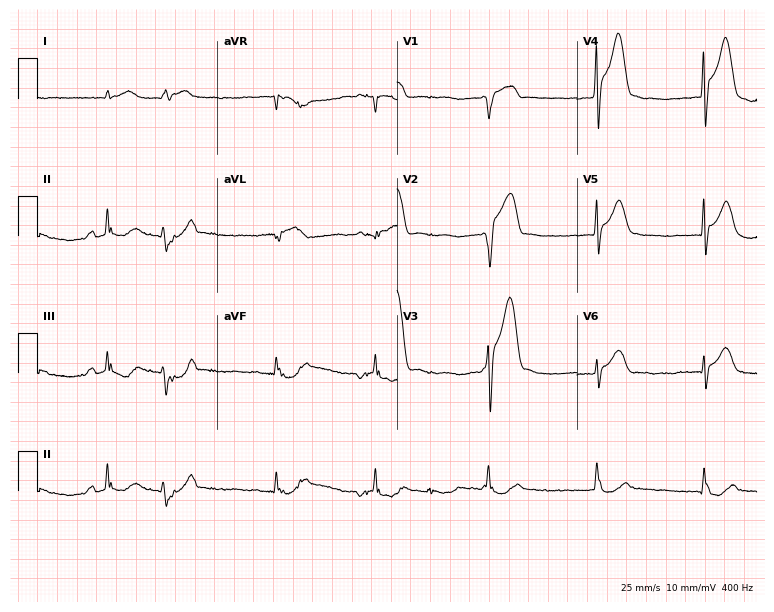
Resting 12-lead electrocardiogram. Patient: a 76-year-old male. None of these six findings is recorded: first-degree AV block, right bundle branch block (RBBB), left bundle branch block (LBBB), sinus bradycardia, atrial fibrillation (AF), sinus tachycardia.